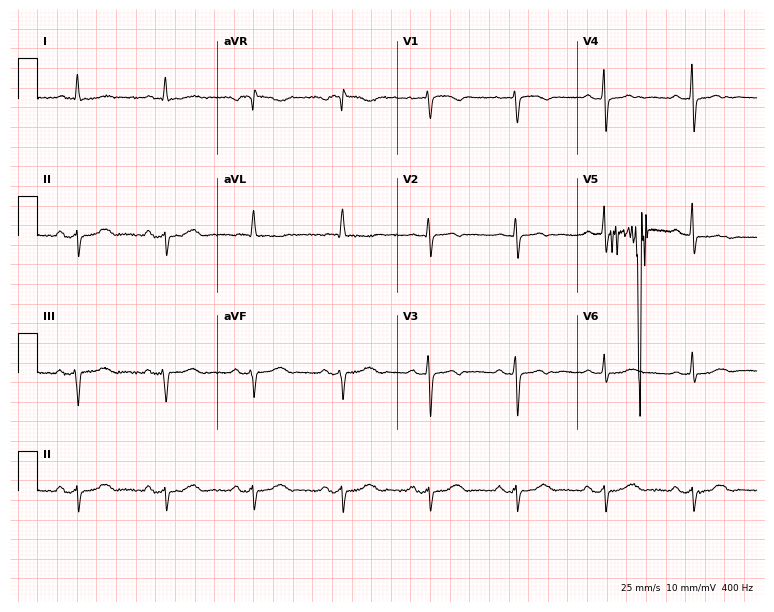
ECG — an 81-year-old female. Screened for six findings — first-degree AV block, right bundle branch block (RBBB), left bundle branch block (LBBB), sinus bradycardia, atrial fibrillation (AF), sinus tachycardia — none is recorded.